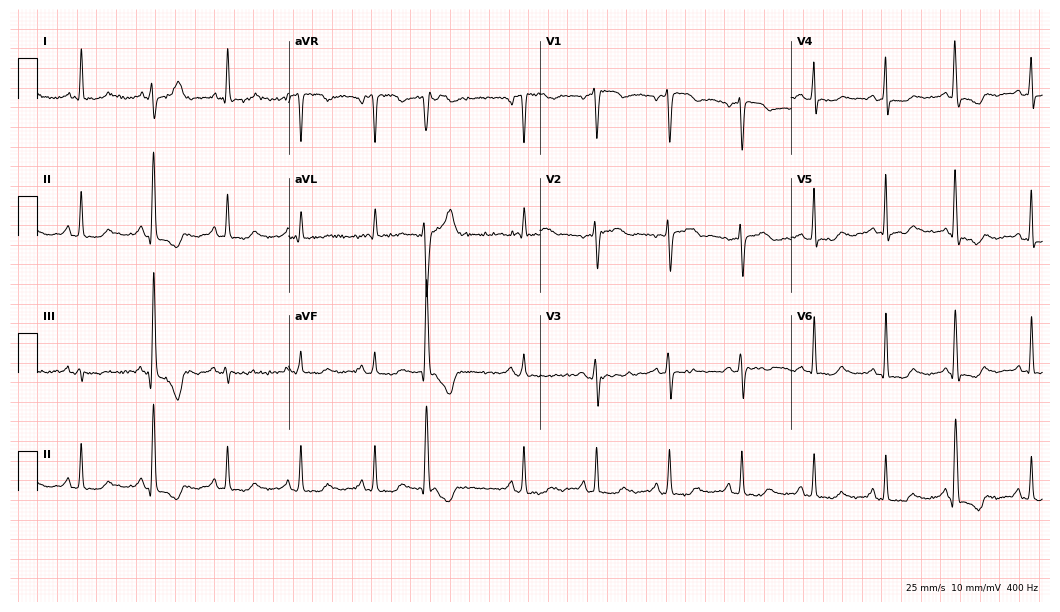
ECG (10.2-second recording at 400 Hz) — a woman, 78 years old. Screened for six findings — first-degree AV block, right bundle branch block (RBBB), left bundle branch block (LBBB), sinus bradycardia, atrial fibrillation (AF), sinus tachycardia — none is recorded. Other findings, if any, are not listed.